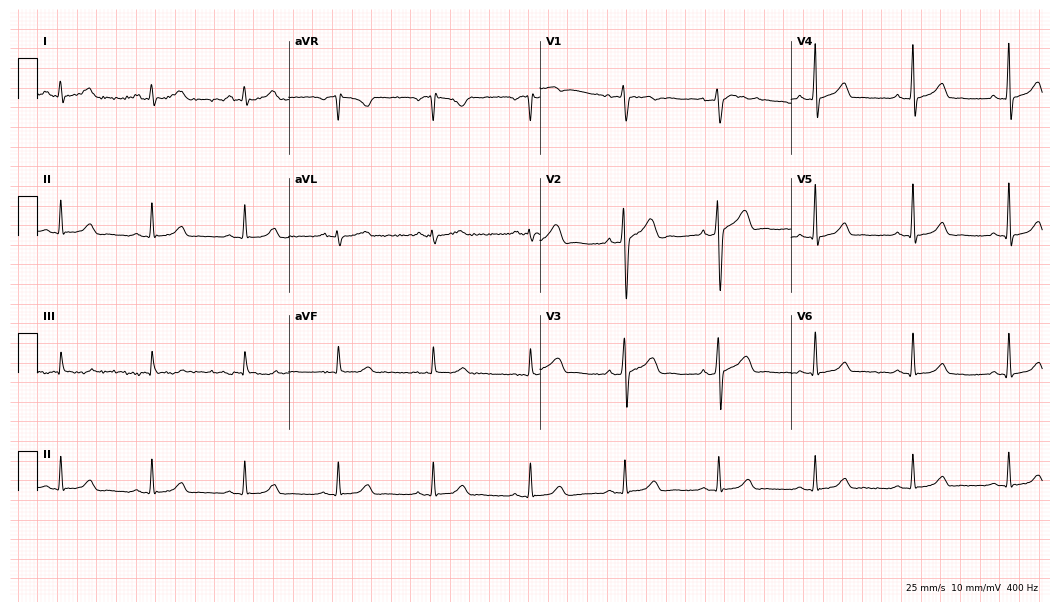
12-lead ECG from a 48-year-old male patient. Recorded interpretation: within normal limits.